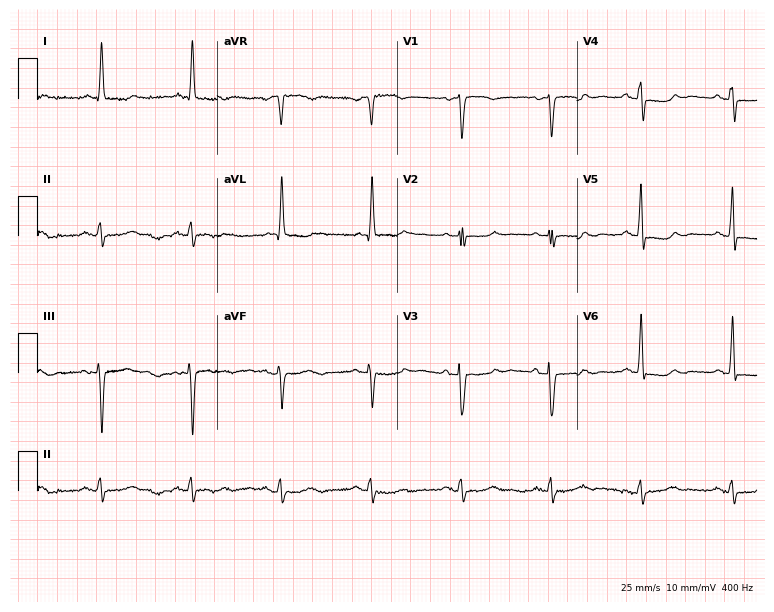
Electrocardiogram (7.3-second recording at 400 Hz), a 78-year-old female patient. Of the six screened findings (first-degree AV block, right bundle branch block, left bundle branch block, sinus bradycardia, atrial fibrillation, sinus tachycardia), none is recorded.